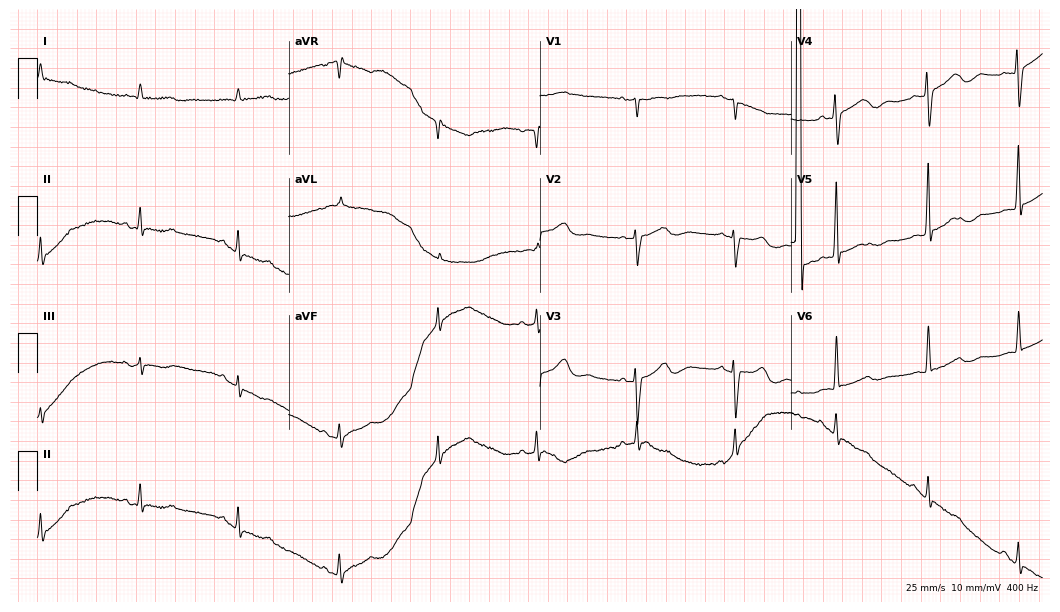
Resting 12-lead electrocardiogram (10.2-second recording at 400 Hz). Patient: a female, 75 years old. Read as a normal ECG.